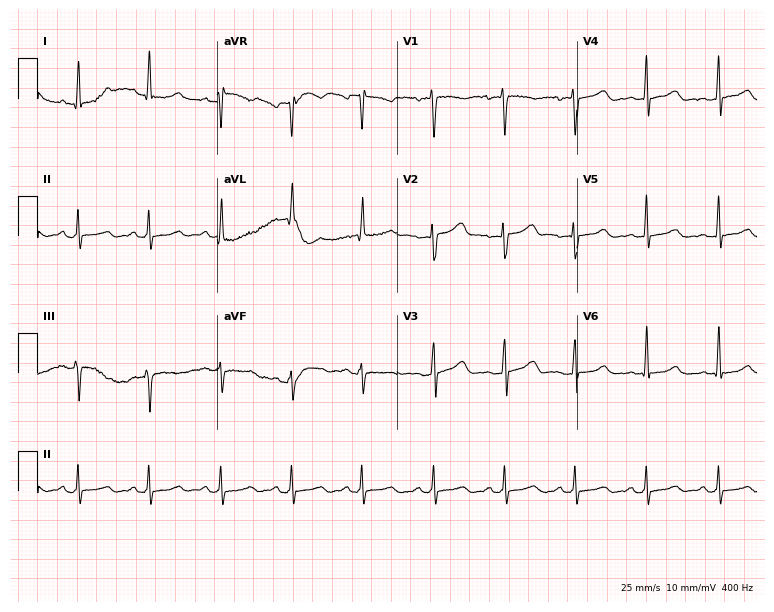
Standard 12-lead ECG recorded from a 50-year-old female (7.3-second recording at 400 Hz). None of these six findings is recorded: first-degree AV block, right bundle branch block, left bundle branch block, sinus bradycardia, atrial fibrillation, sinus tachycardia.